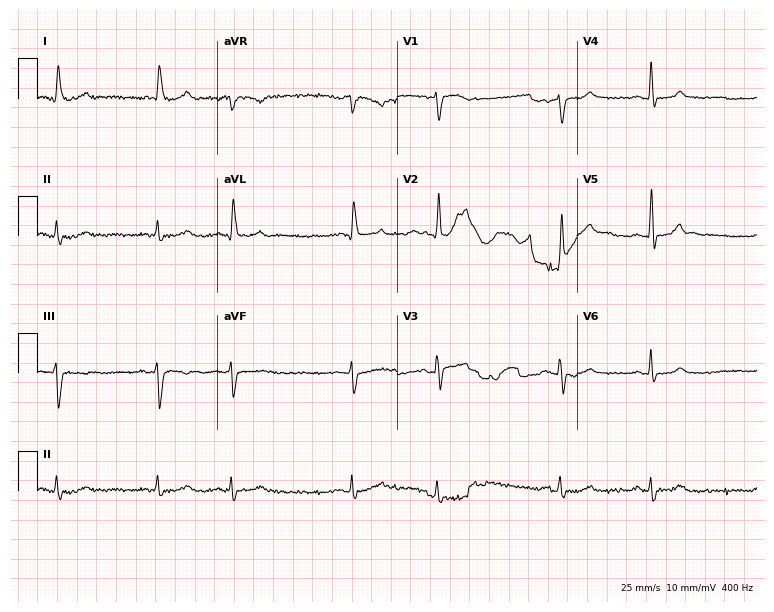
Standard 12-lead ECG recorded from a male patient, 80 years old. None of these six findings is recorded: first-degree AV block, right bundle branch block (RBBB), left bundle branch block (LBBB), sinus bradycardia, atrial fibrillation (AF), sinus tachycardia. Findings outside these six are not listed.